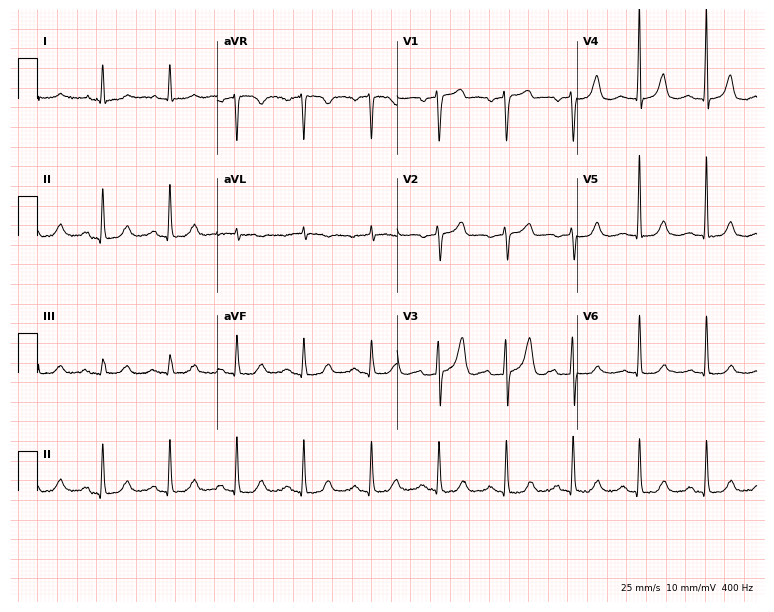
Standard 12-lead ECG recorded from an 85-year-old male. None of these six findings is recorded: first-degree AV block, right bundle branch block, left bundle branch block, sinus bradycardia, atrial fibrillation, sinus tachycardia. Findings outside these six are not listed.